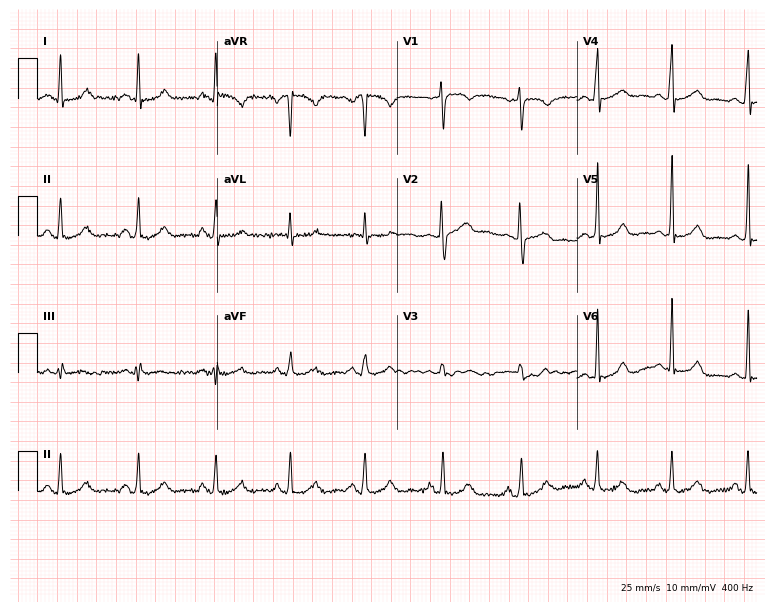
12-lead ECG from a 45-year-old female patient (7.3-second recording at 400 Hz). Recorded interpretation: within normal limits.